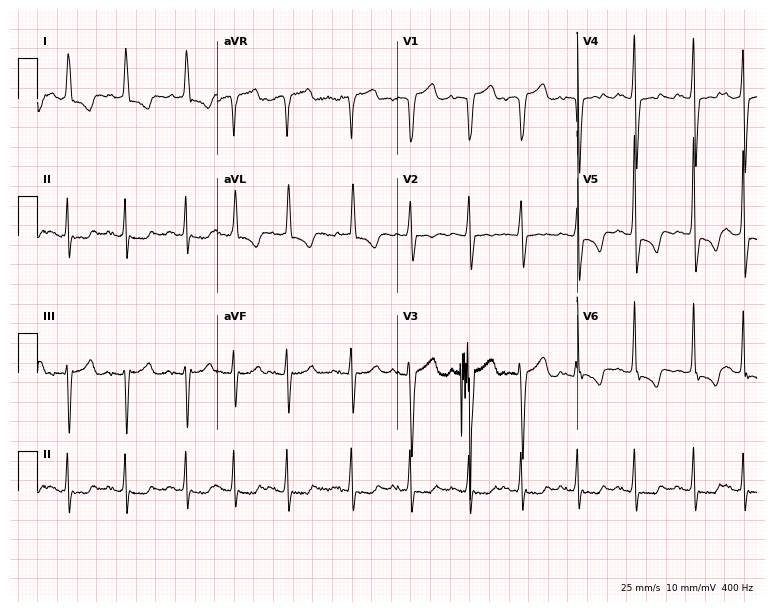
Standard 12-lead ECG recorded from a female patient, 77 years old. The tracing shows sinus tachycardia (a sinus rate of 100 beats per minute or more).